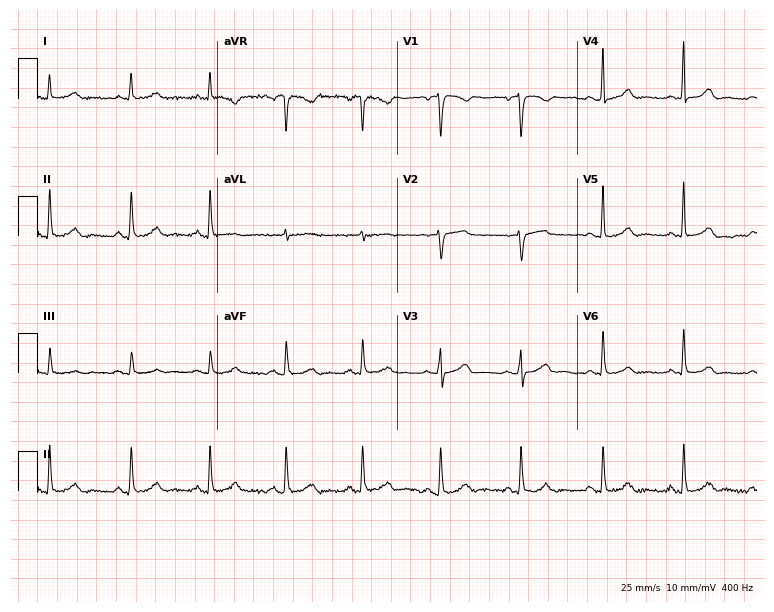
ECG (7.3-second recording at 400 Hz) — a 43-year-old female patient. Labelled as a normal ECG.